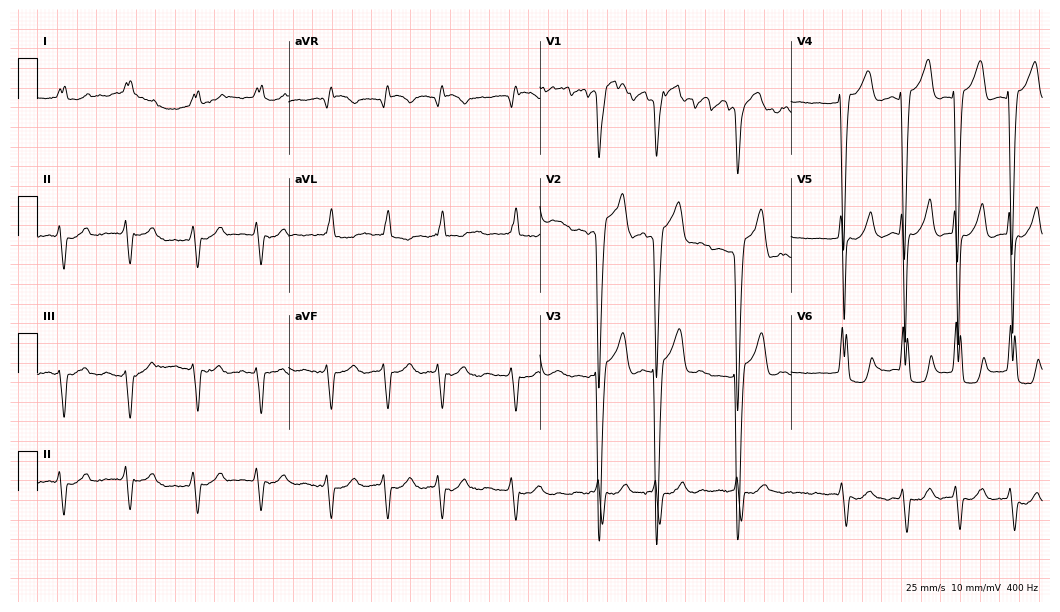
Resting 12-lead electrocardiogram (10.2-second recording at 400 Hz). Patient: a woman, 72 years old. The tracing shows left bundle branch block, atrial fibrillation.